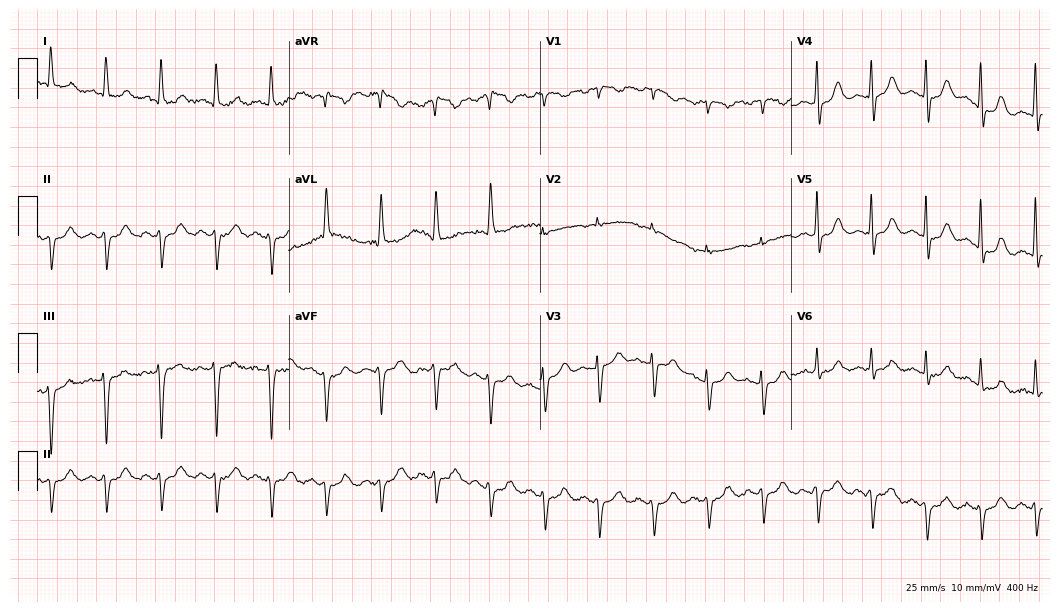
Resting 12-lead electrocardiogram. Patient: a female, 73 years old. The tracing shows sinus tachycardia (a sinus rate of 100 beats per minute or more).